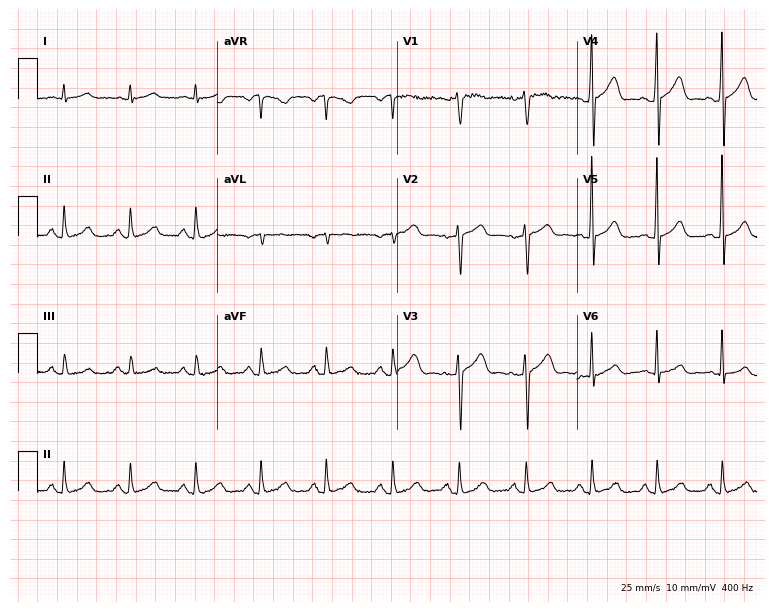
12-lead ECG from a male, 69 years old. Labelled as a normal ECG.